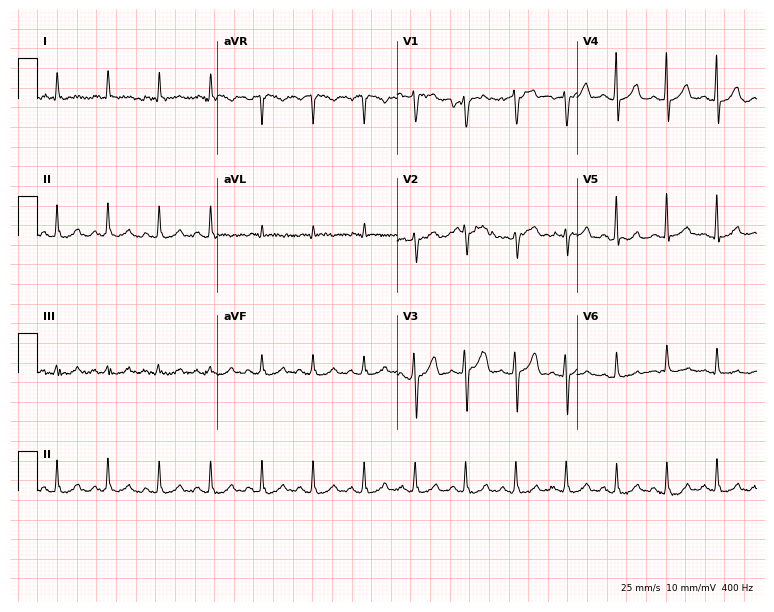
Resting 12-lead electrocardiogram. Patient: a 67-year-old male. The tracing shows sinus tachycardia (a sinus rate of 100 beats per minute or more).